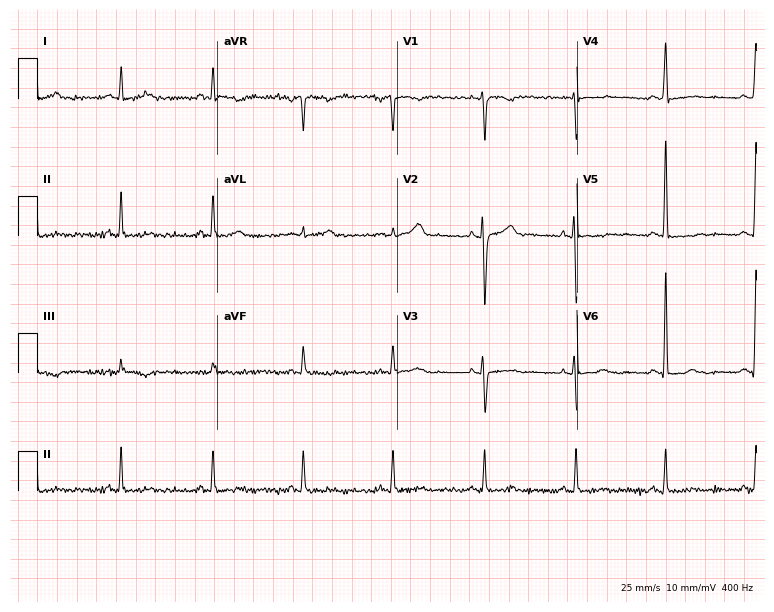
Standard 12-lead ECG recorded from a female patient, 30 years old (7.3-second recording at 400 Hz). None of these six findings is recorded: first-degree AV block, right bundle branch block, left bundle branch block, sinus bradycardia, atrial fibrillation, sinus tachycardia.